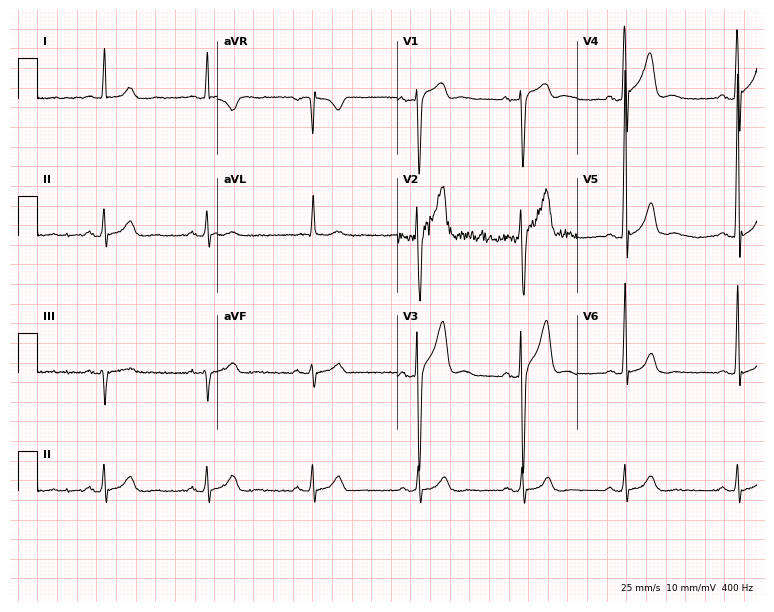
ECG (7.3-second recording at 400 Hz) — a male patient, 72 years old. Screened for six findings — first-degree AV block, right bundle branch block, left bundle branch block, sinus bradycardia, atrial fibrillation, sinus tachycardia — none is recorded. Only these six findings were labelled.